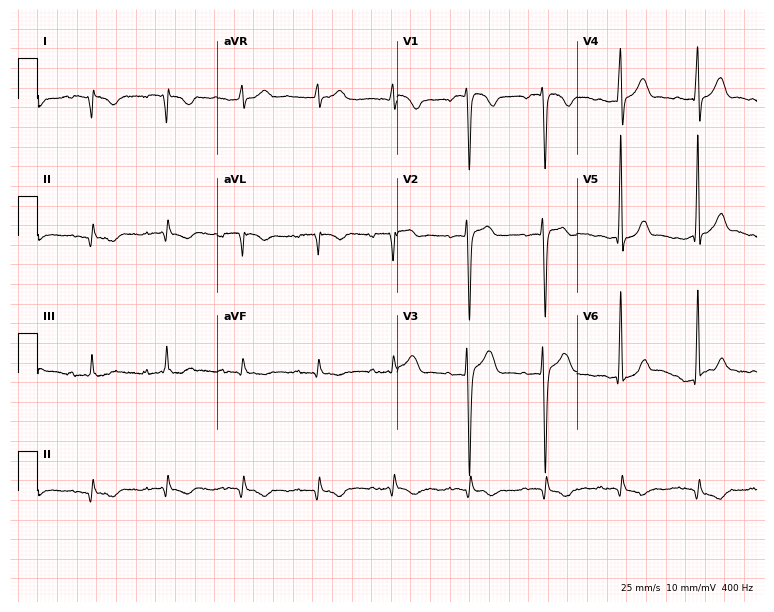
12-lead ECG from a man, 50 years old. Screened for six findings — first-degree AV block, right bundle branch block, left bundle branch block, sinus bradycardia, atrial fibrillation, sinus tachycardia — none is recorded. Only these six findings were labelled.